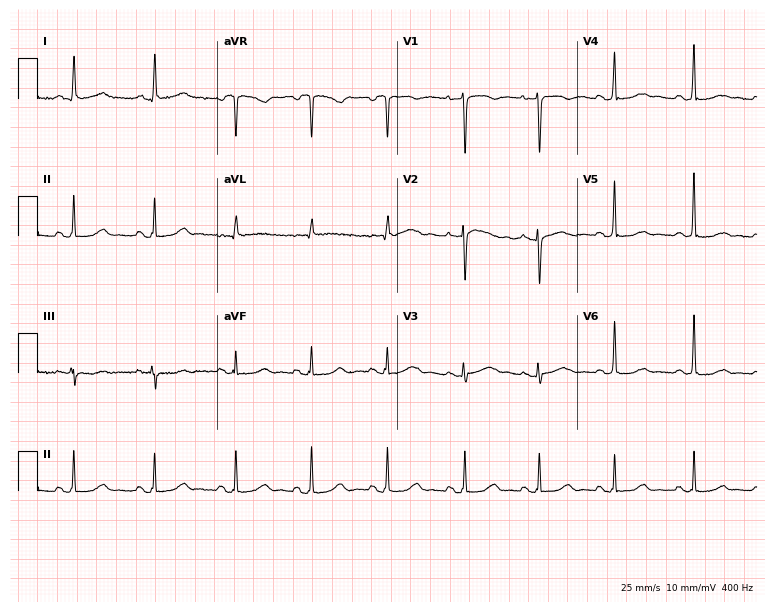
12-lead ECG from a female patient, 54 years old. Screened for six findings — first-degree AV block, right bundle branch block, left bundle branch block, sinus bradycardia, atrial fibrillation, sinus tachycardia — none is recorded. Only these six findings were labelled.